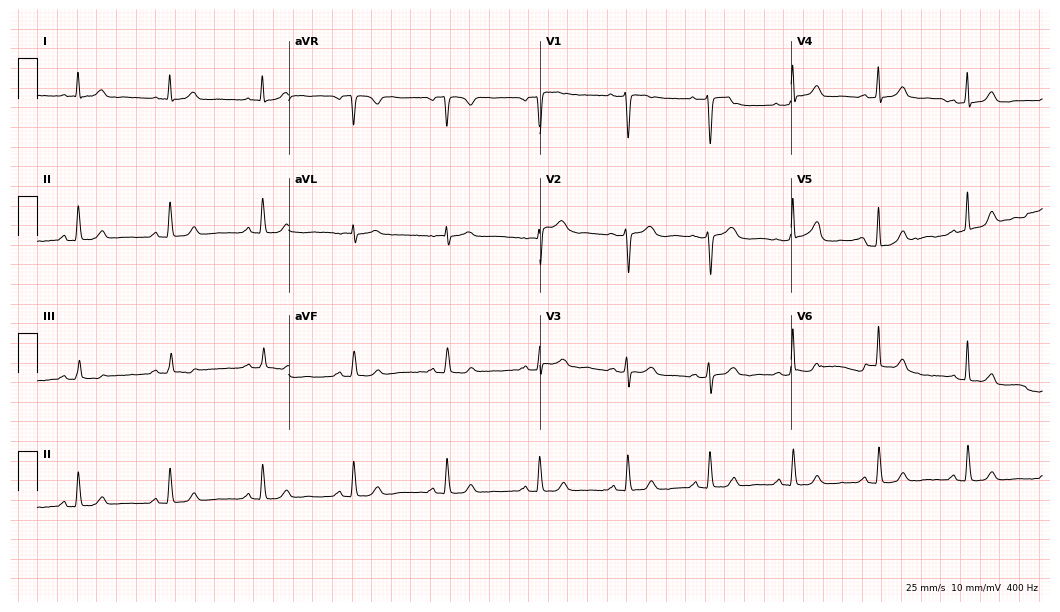
12-lead ECG (10.2-second recording at 400 Hz) from a female patient, 51 years old. Labelled as a normal ECG.